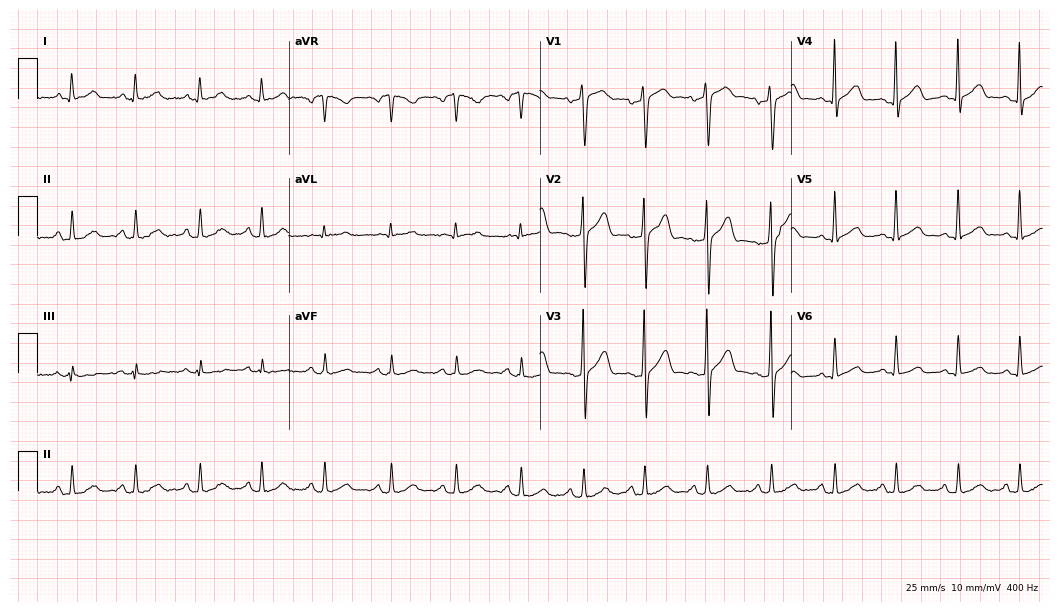
Resting 12-lead electrocardiogram (10.2-second recording at 400 Hz). Patient: a 22-year-old male. Read as a normal ECG.